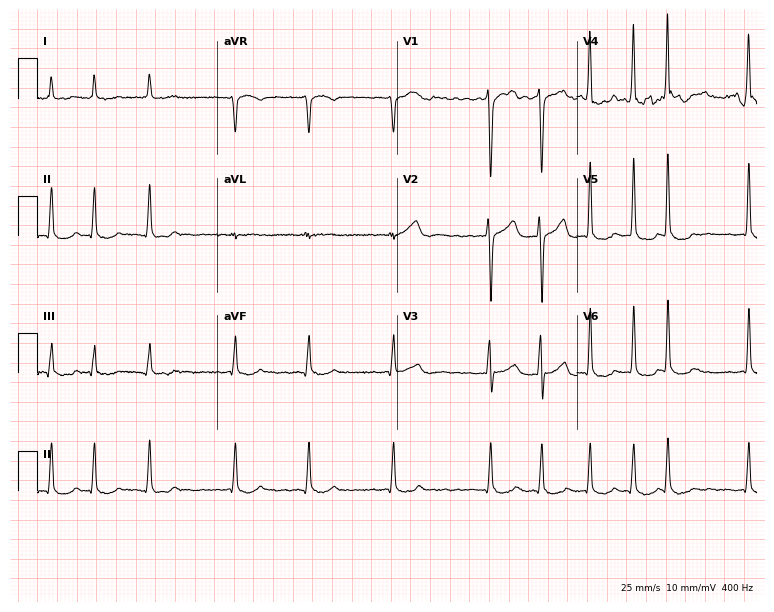
12-lead ECG from a man, 68 years old (7.3-second recording at 400 Hz). No first-degree AV block, right bundle branch block, left bundle branch block, sinus bradycardia, atrial fibrillation or sinus tachycardia recorded for this tracing. Other findings, if any, are not listed.